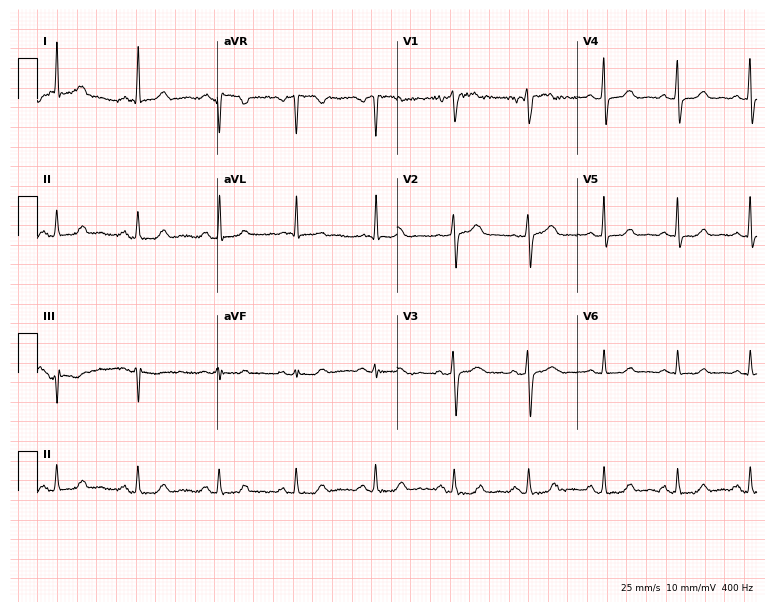
12-lead ECG (7.3-second recording at 400 Hz) from a female, 67 years old. Screened for six findings — first-degree AV block, right bundle branch block (RBBB), left bundle branch block (LBBB), sinus bradycardia, atrial fibrillation (AF), sinus tachycardia — none is recorded. Only these six findings were labelled.